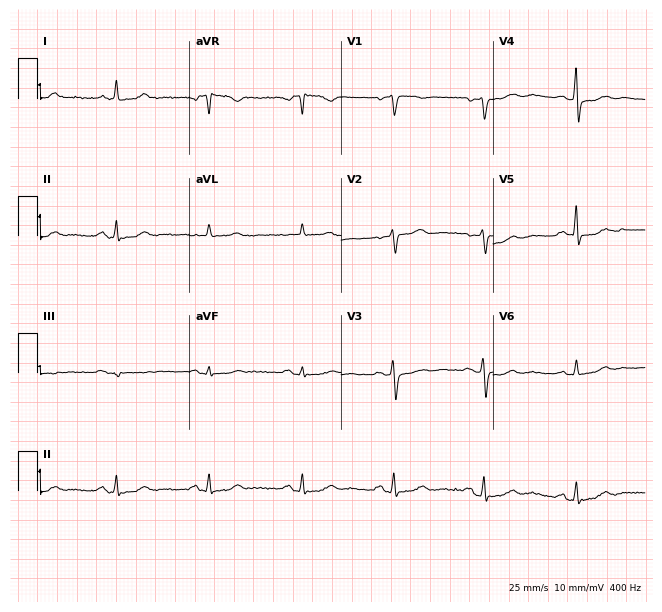
ECG (6.2-second recording at 400 Hz) — a 61-year-old female patient. Labelled as a normal ECG.